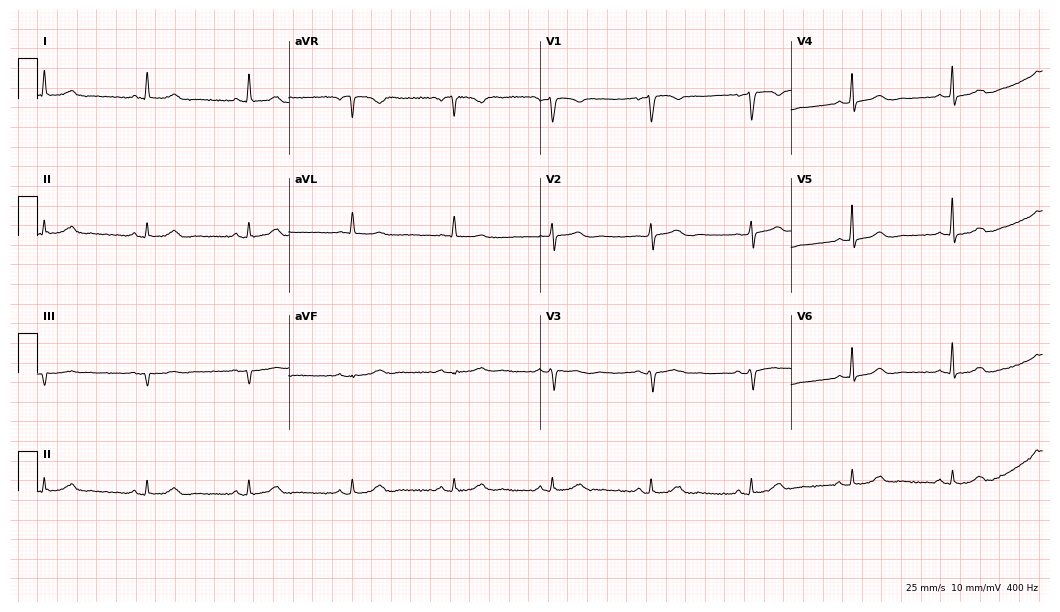
ECG — a 46-year-old woman. Labelled as a normal ECG.